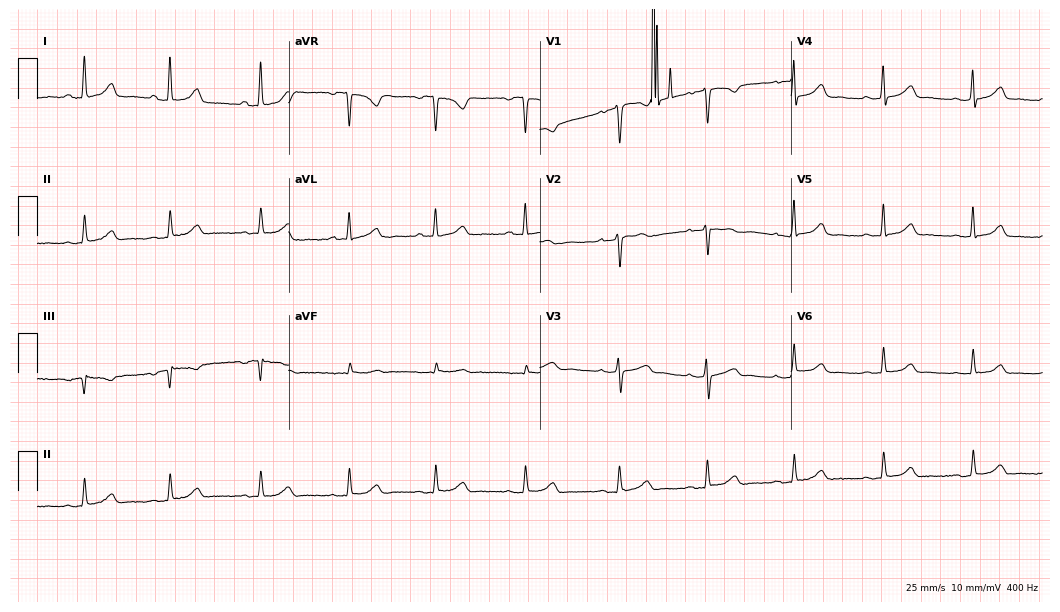
12-lead ECG (10.2-second recording at 400 Hz) from a female, 40 years old. Labelled as a normal ECG.